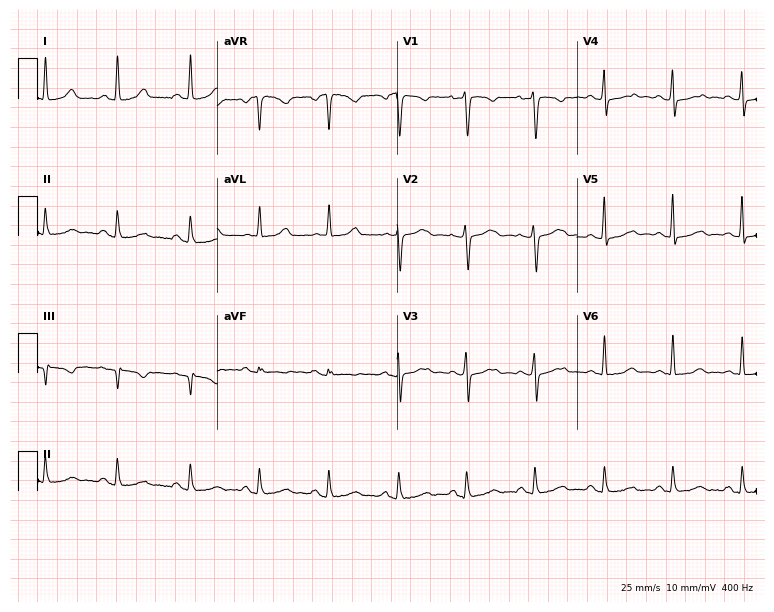
12-lead ECG (7.3-second recording at 400 Hz) from a 38-year-old female patient. Screened for six findings — first-degree AV block, right bundle branch block (RBBB), left bundle branch block (LBBB), sinus bradycardia, atrial fibrillation (AF), sinus tachycardia — none is recorded. Findings outside these six are not listed.